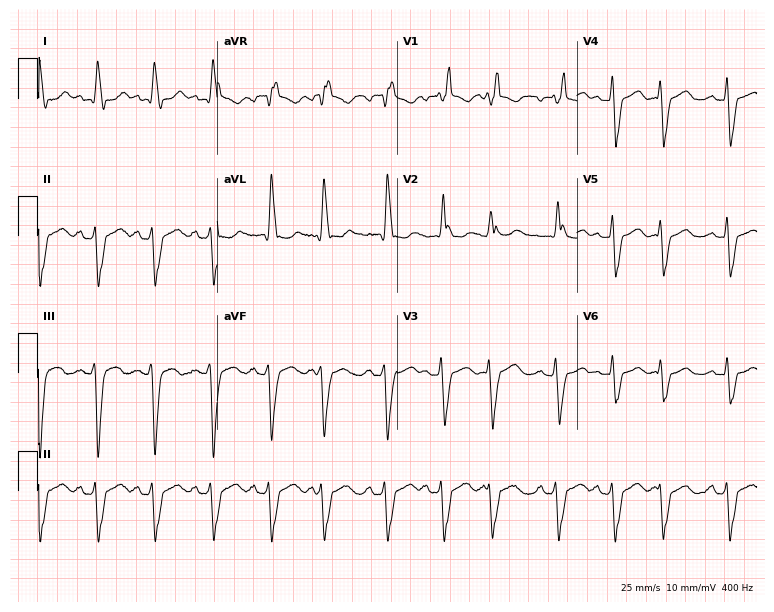
Resting 12-lead electrocardiogram. Patient: an 85-year-old female. The tracing shows right bundle branch block, sinus tachycardia (a sinus rate of 100 beats per minute or more).